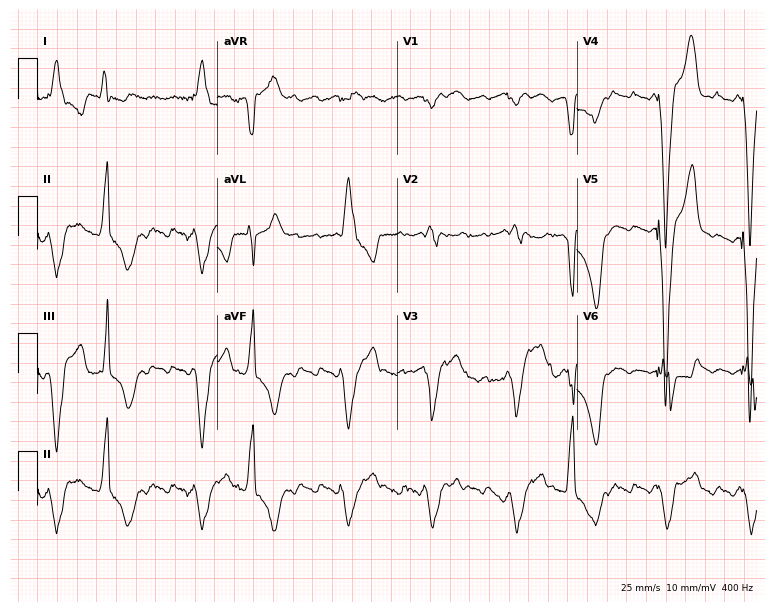
12-lead ECG from a man, 81 years old (7.3-second recording at 400 Hz). No first-degree AV block, right bundle branch block (RBBB), left bundle branch block (LBBB), sinus bradycardia, atrial fibrillation (AF) or sinus tachycardia recorded for this tracing. Other findings, if any, are not listed.